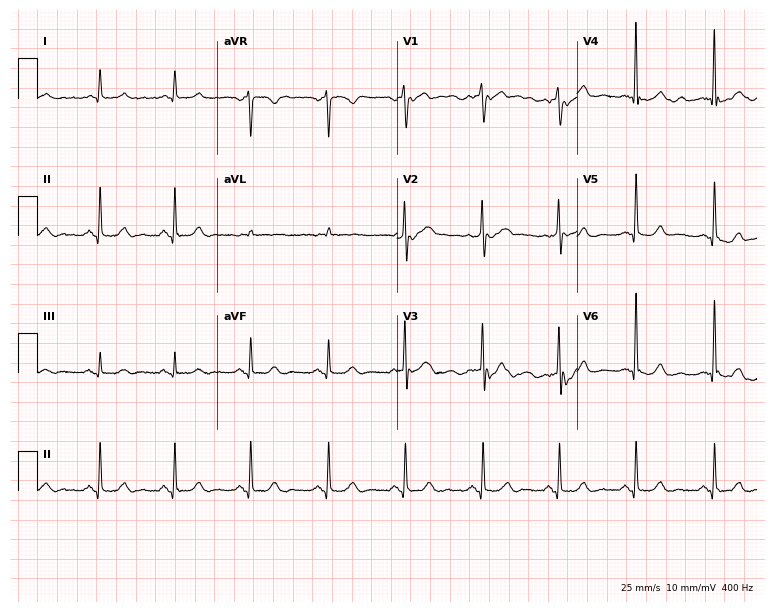
Standard 12-lead ECG recorded from a 57-year-old woman. Read as a normal ECG.